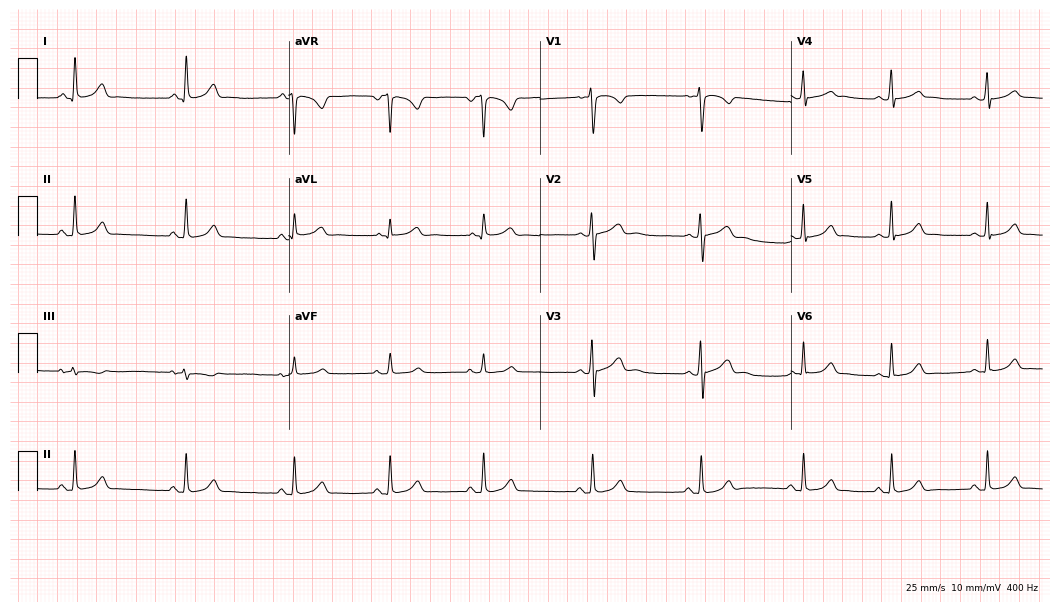
Standard 12-lead ECG recorded from a woman, 17 years old (10.2-second recording at 400 Hz). Read as a normal ECG.